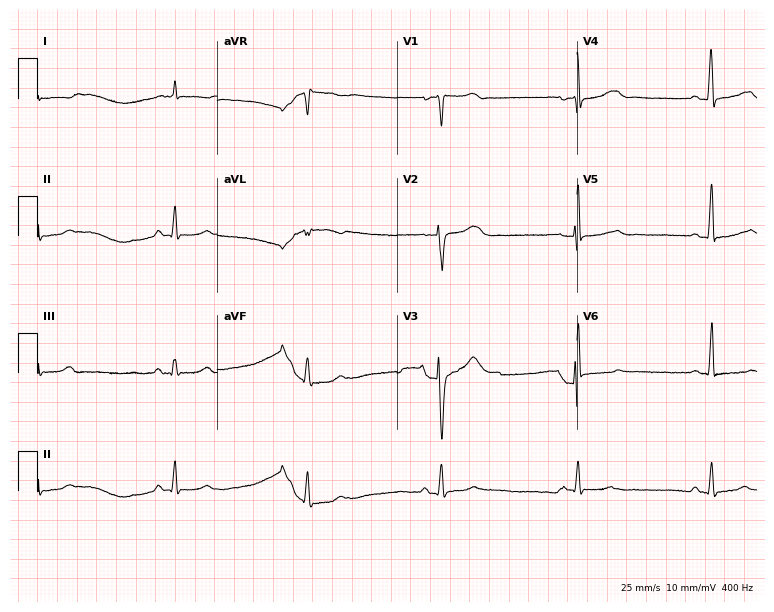
Electrocardiogram, an 84-year-old man. Interpretation includes sinus bradycardia (a sinus rate of 50 beats per minute or less).